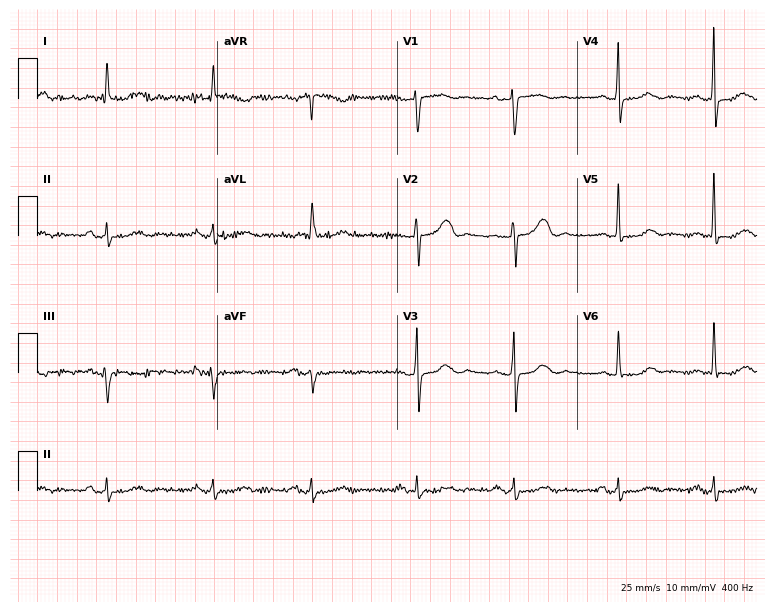
Resting 12-lead electrocardiogram (7.3-second recording at 400 Hz). Patient: a 54-year-old female. None of these six findings is recorded: first-degree AV block, right bundle branch block, left bundle branch block, sinus bradycardia, atrial fibrillation, sinus tachycardia. Other findings, if any, are not listed.